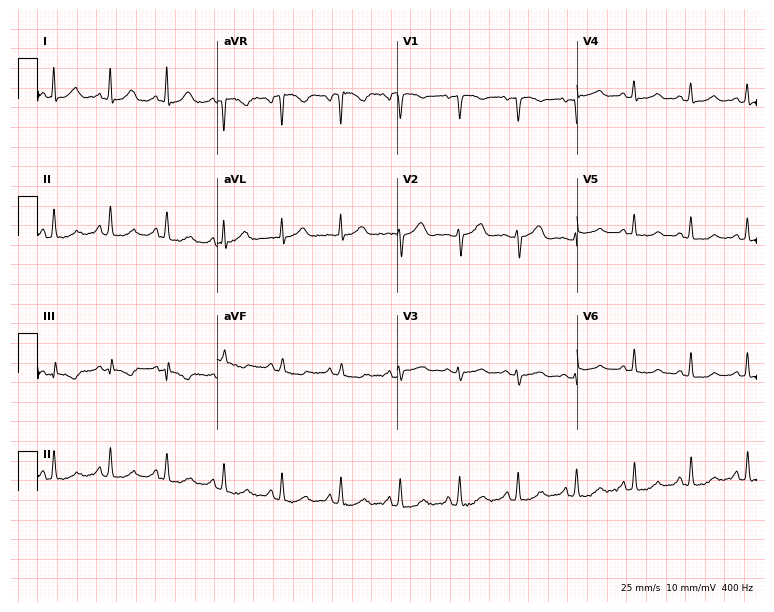
Resting 12-lead electrocardiogram (7.3-second recording at 400 Hz). Patient: a female, 48 years old. None of these six findings is recorded: first-degree AV block, right bundle branch block (RBBB), left bundle branch block (LBBB), sinus bradycardia, atrial fibrillation (AF), sinus tachycardia.